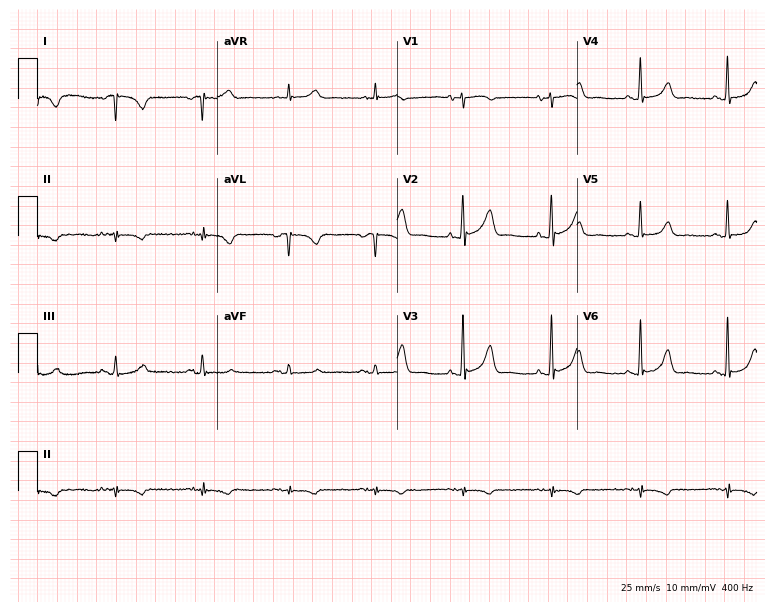
Electrocardiogram, a 73-year-old female. Of the six screened findings (first-degree AV block, right bundle branch block (RBBB), left bundle branch block (LBBB), sinus bradycardia, atrial fibrillation (AF), sinus tachycardia), none is recorded. Findings outside these six are not listed.